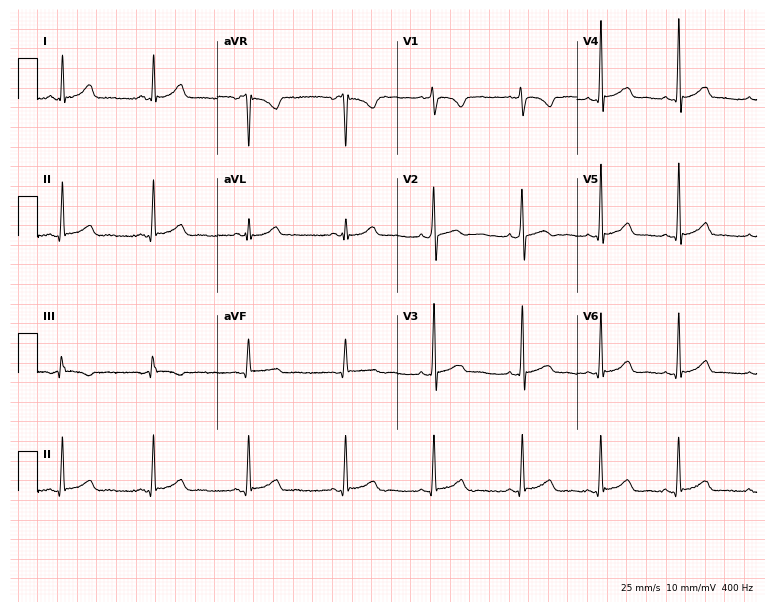
Resting 12-lead electrocardiogram. Patient: a female, 20 years old. None of these six findings is recorded: first-degree AV block, right bundle branch block, left bundle branch block, sinus bradycardia, atrial fibrillation, sinus tachycardia. Only these six findings were labelled.